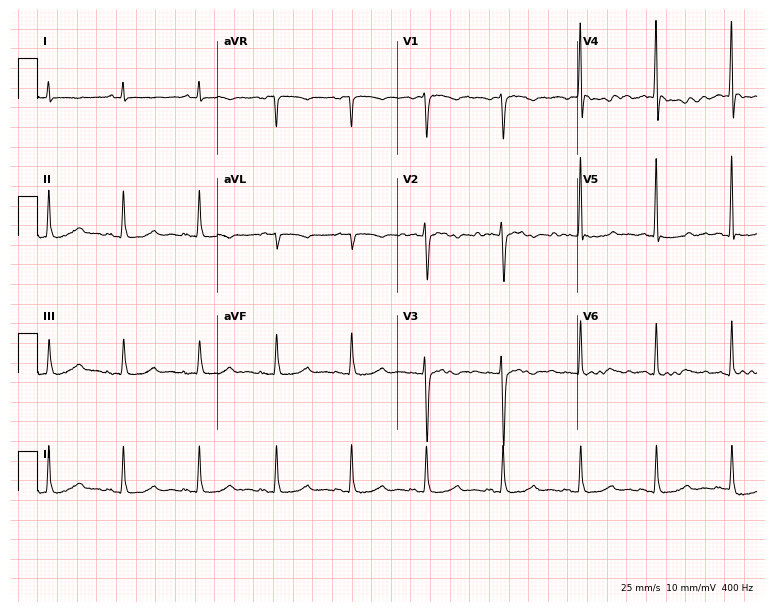
Electrocardiogram, a 44-year-old female. Of the six screened findings (first-degree AV block, right bundle branch block, left bundle branch block, sinus bradycardia, atrial fibrillation, sinus tachycardia), none is recorded. Only these six findings were labelled.